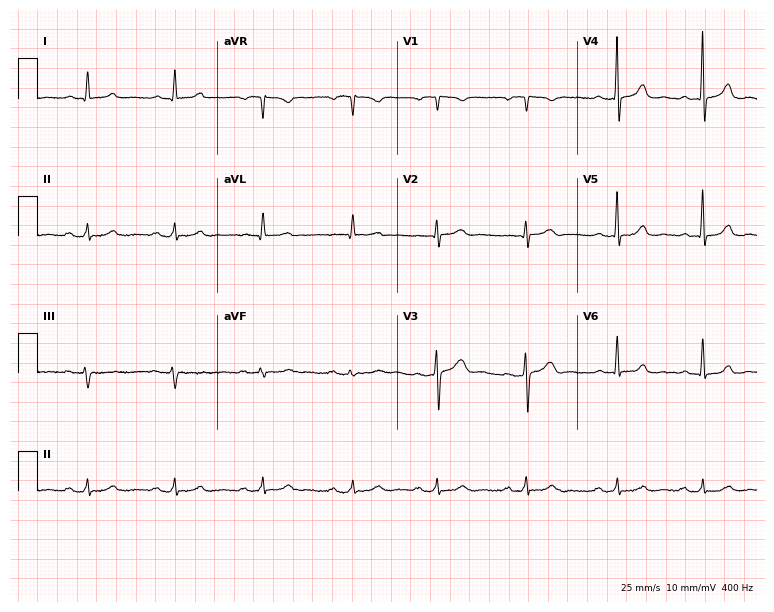
12-lead ECG (7.3-second recording at 400 Hz) from a female patient, 40 years old. Labelled as a normal ECG.